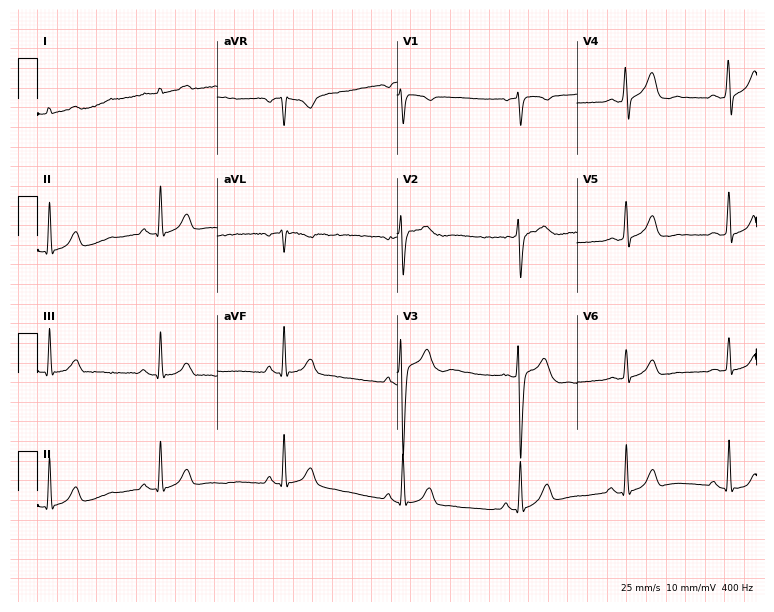
ECG — a 29-year-old male patient. Screened for six findings — first-degree AV block, right bundle branch block, left bundle branch block, sinus bradycardia, atrial fibrillation, sinus tachycardia — none is recorded.